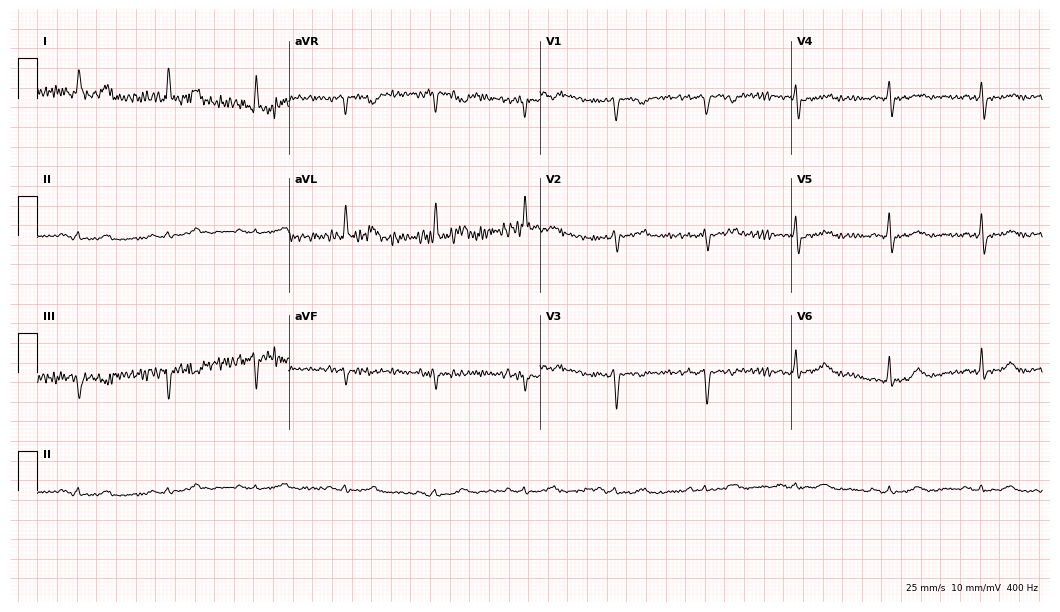
ECG (10.2-second recording at 400 Hz) — a male patient, 81 years old. Screened for six findings — first-degree AV block, right bundle branch block, left bundle branch block, sinus bradycardia, atrial fibrillation, sinus tachycardia — none is recorded.